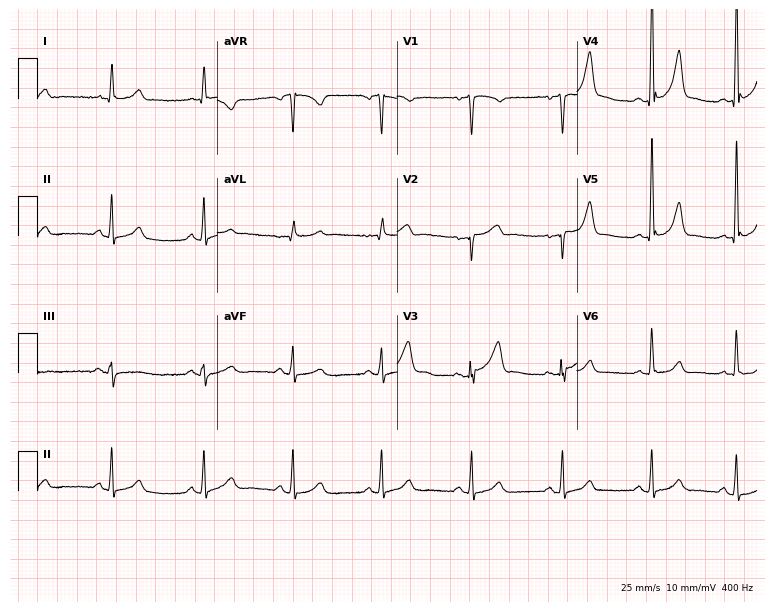
Standard 12-lead ECG recorded from a female patient, 54 years old (7.3-second recording at 400 Hz). Read as a normal ECG.